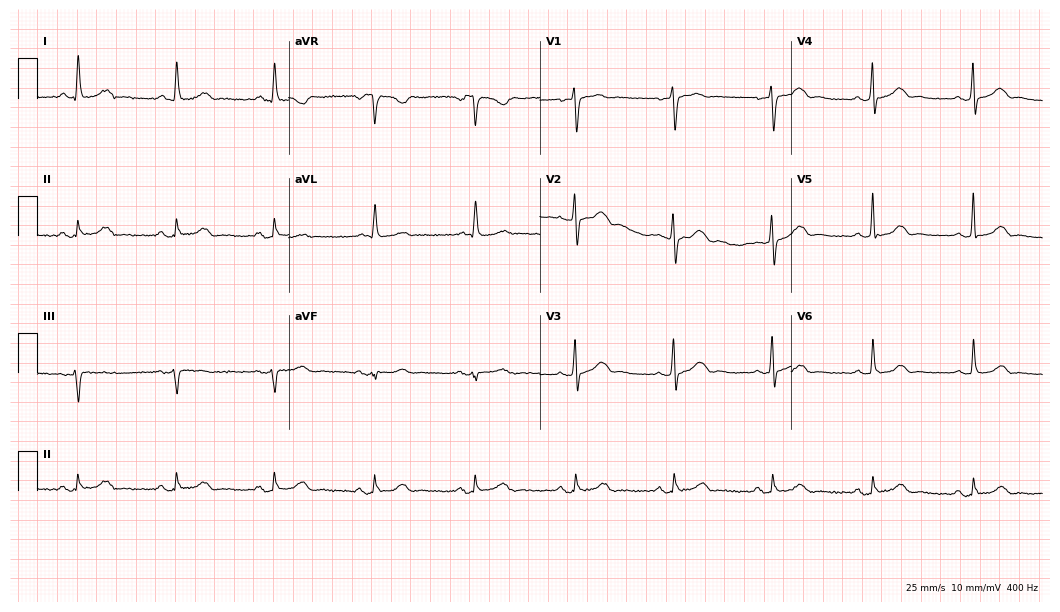
Electrocardiogram (10.2-second recording at 400 Hz), a female patient, 58 years old. Overall reading on record: normal ECG.